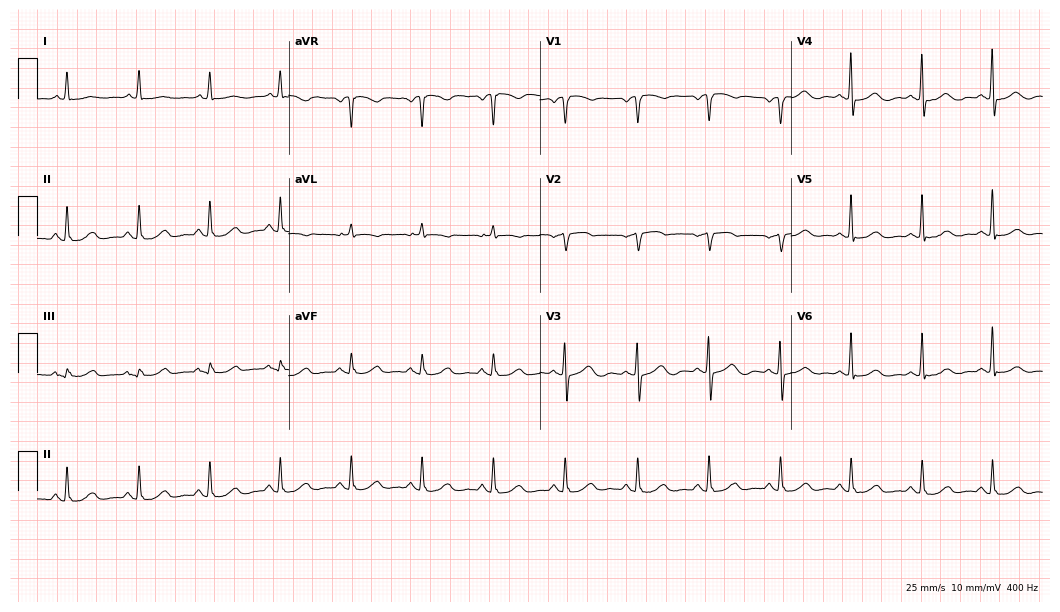
12-lead ECG from a female, 68 years old. Labelled as a normal ECG.